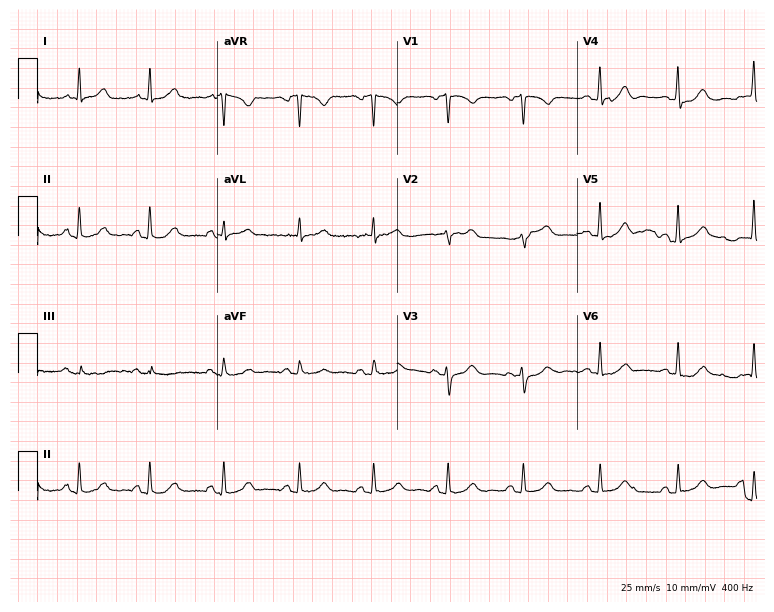
Resting 12-lead electrocardiogram (7.3-second recording at 400 Hz). Patient: a 46-year-old woman. Read as a normal ECG.